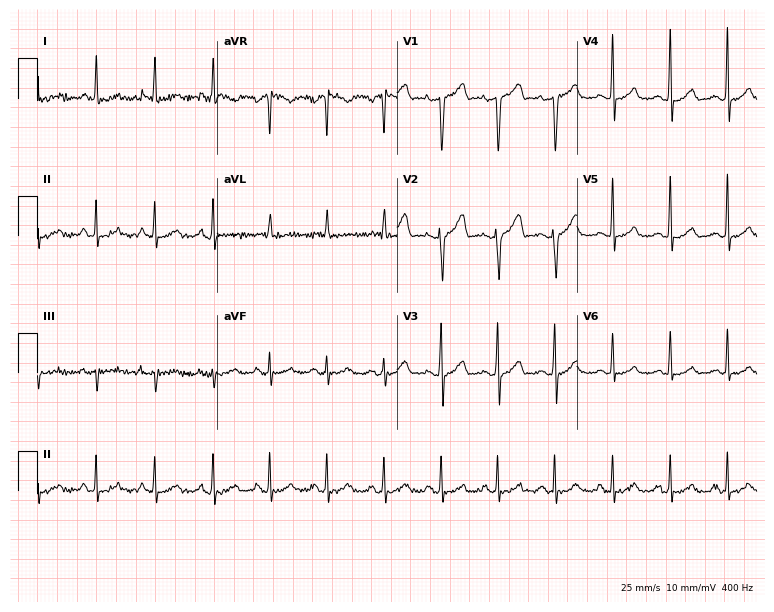
Standard 12-lead ECG recorded from a 63-year-old female patient. The tracing shows sinus tachycardia (a sinus rate of 100 beats per minute or more).